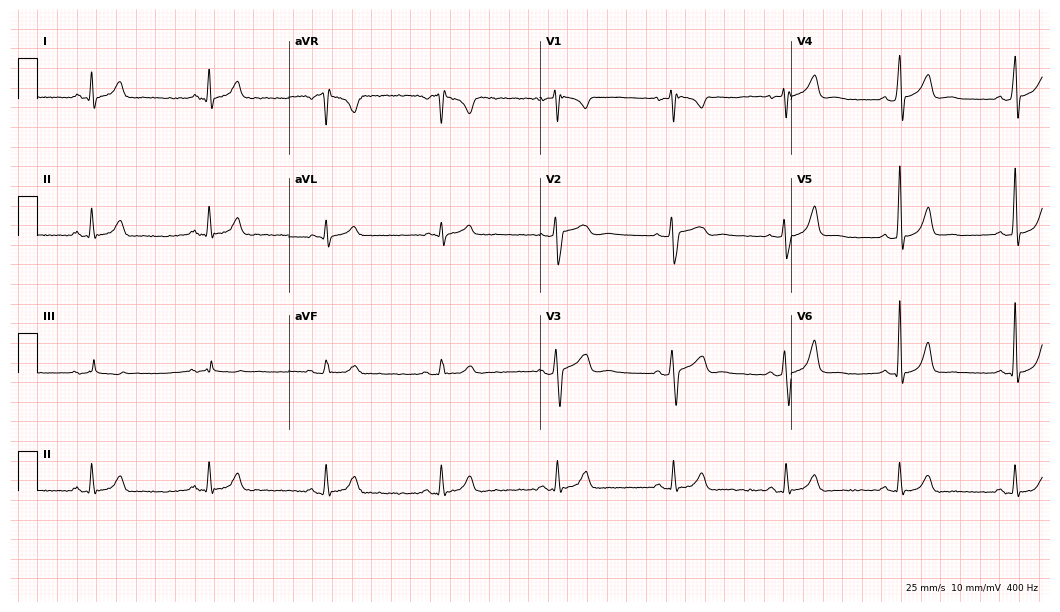
Resting 12-lead electrocardiogram (10.2-second recording at 400 Hz). Patient: a 26-year-old male. Read as a normal ECG.